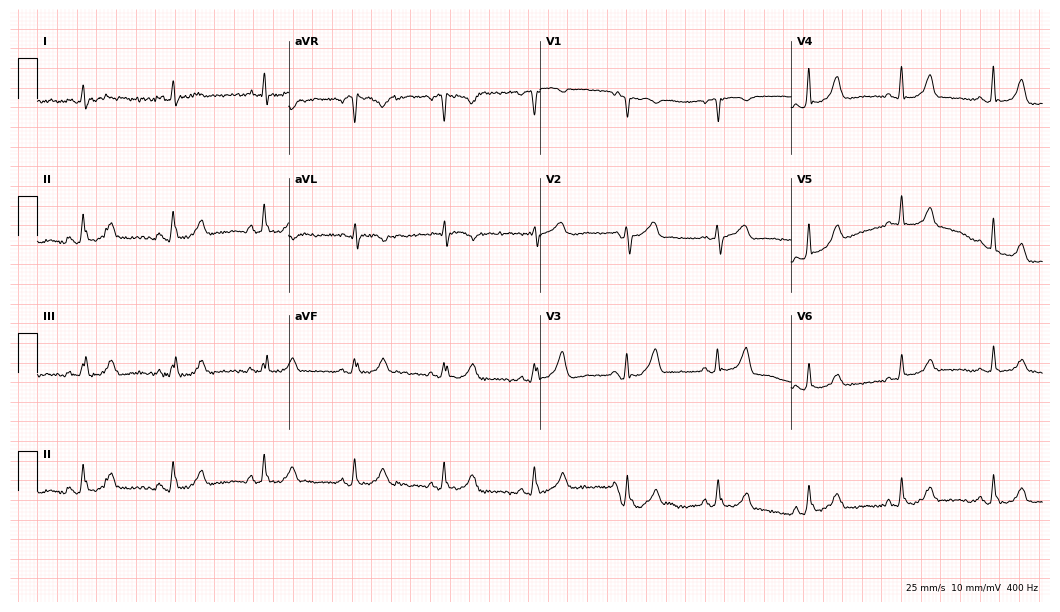
Resting 12-lead electrocardiogram. Patient: a 45-year-old female. Read as a normal ECG.